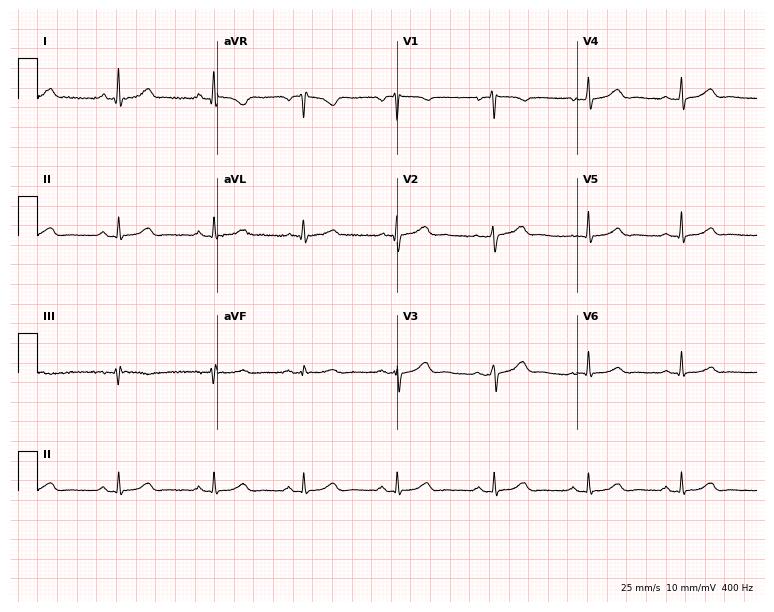
12-lead ECG from a man, 42 years old. Recorded interpretation: within normal limits.